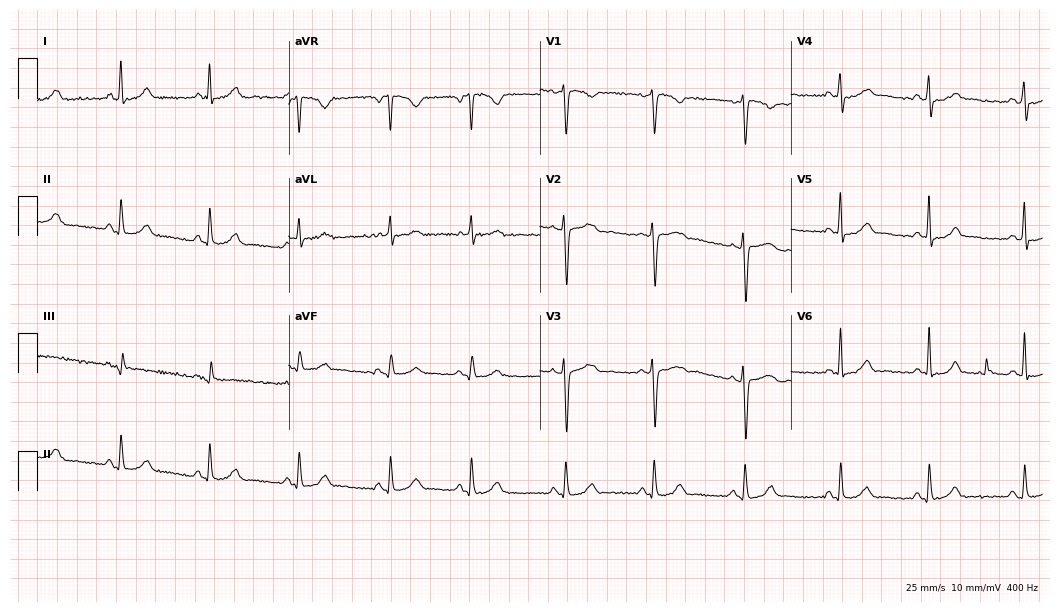
ECG (10.2-second recording at 400 Hz) — a 29-year-old female. Labelled as a normal ECG.